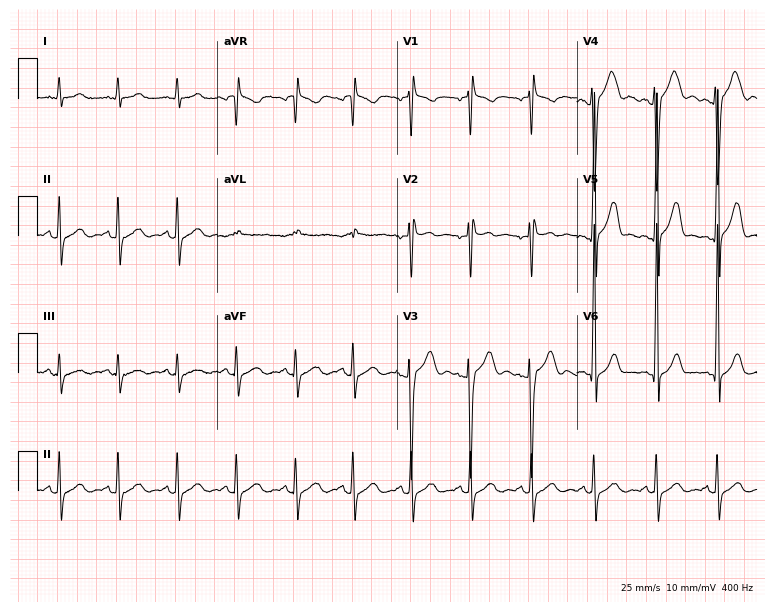
Standard 12-lead ECG recorded from a male patient, 18 years old. None of these six findings is recorded: first-degree AV block, right bundle branch block, left bundle branch block, sinus bradycardia, atrial fibrillation, sinus tachycardia. Findings outside these six are not listed.